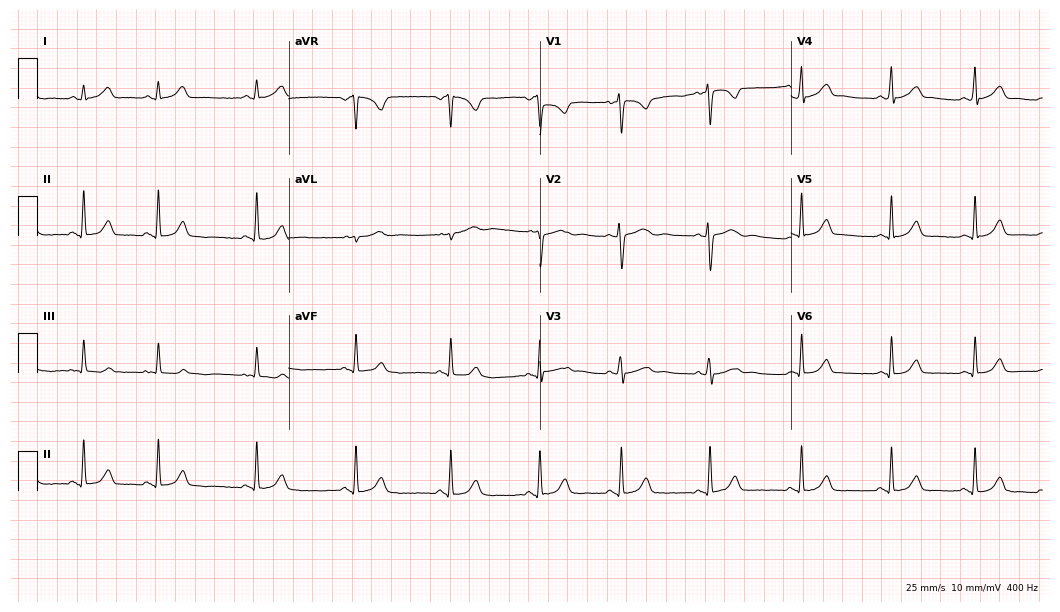
Electrocardiogram (10.2-second recording at 400 Hz), a 19-year-old female patient. Overall reading on record: normal ECG.